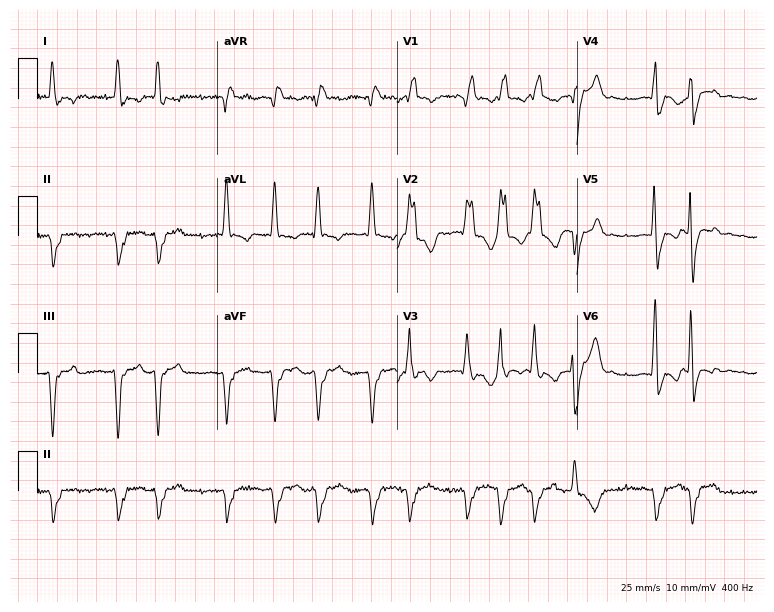
Standard 12-lead ECG recorded from a male, 41 years old (7.3-second recording at 400 Hz). The tracing shows right bundle branch block, atrial fibrillation.